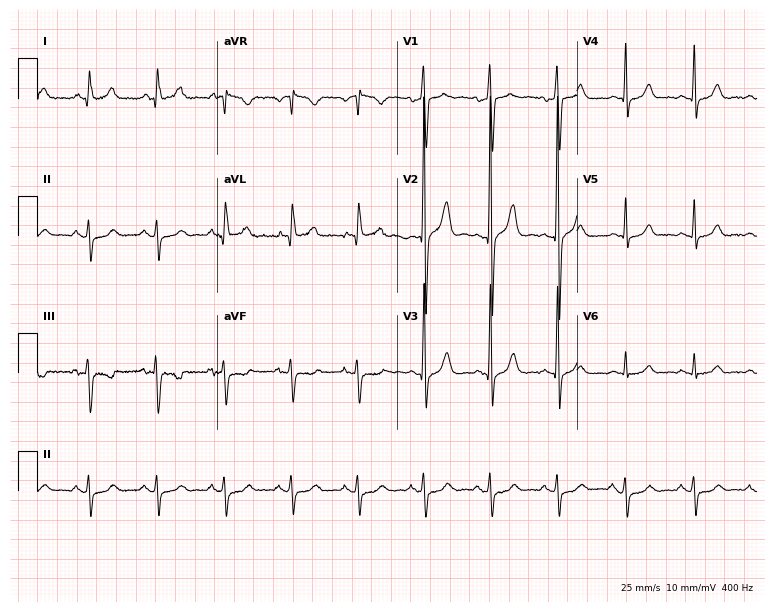
12-lead ECG from a 65-year-old male patient. Screened for six findings — first-degree AV block, right bundle branch block (RBBB), left bundle branch block (LBBB), sinus bradycardia, atrial fibrillation (AF), sinus tachycardia — none is recorded.